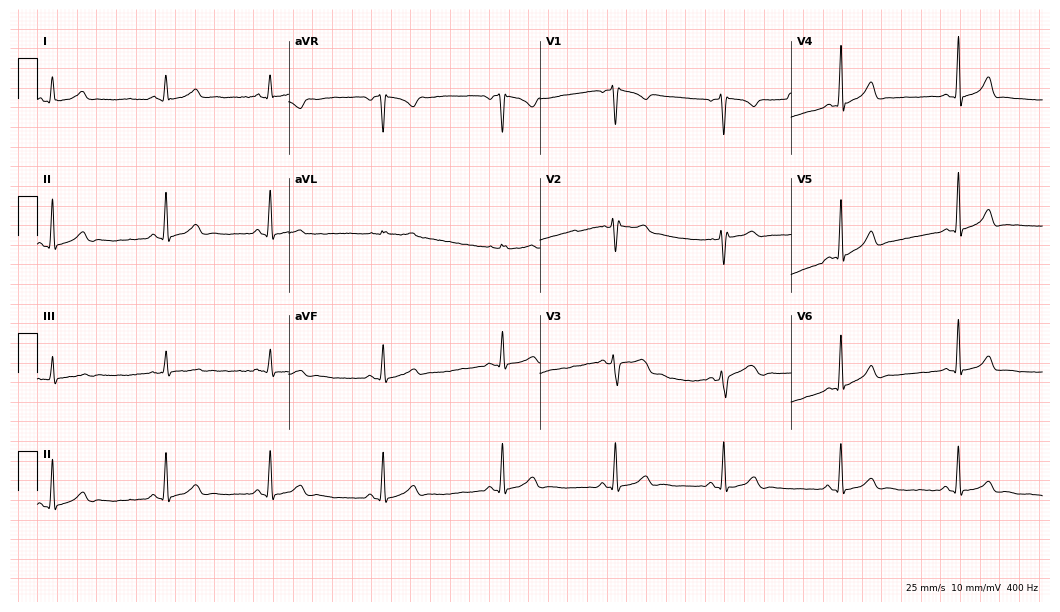
Electrocardiogram, a 23-year-old woman. Of the six screened findings (first-degree AV block, right bundle branch block (RBBB), left bundle branch block (LBBB), sinus bradycardia, atrial fibrillation (AF), sinus tachycardia), none is recorded.